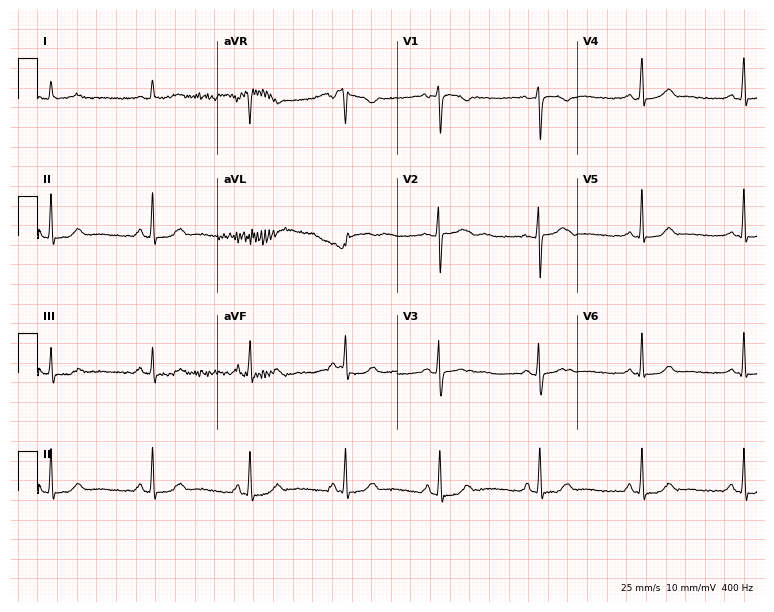
Electrocardiogram, a female patient, 33 years old. Of the six screened findings (first-degree AV block, right bundle branch block (RBBB), left bundle branch block (LBBB), sinus bradycardia, atrial fibrillation (AF), sinus tachycardia), none is recorded.